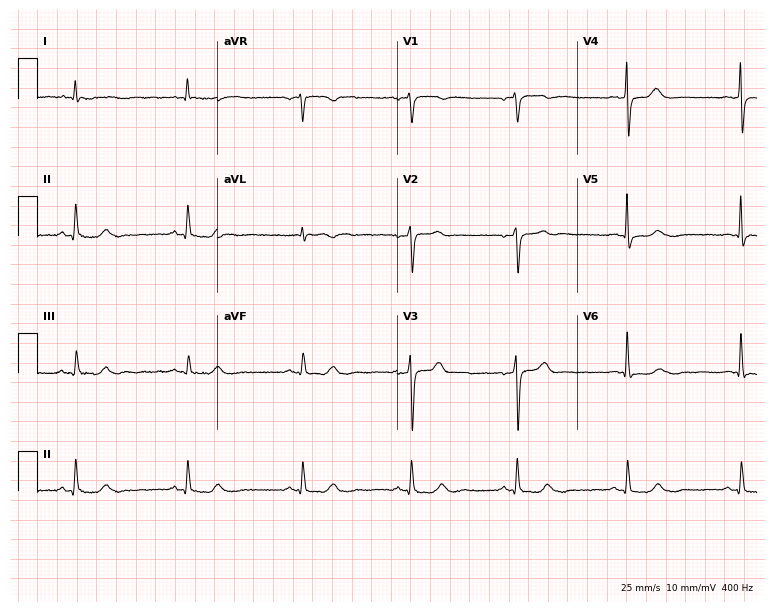
12-lead ECG from a 76-year-old man. Screened for six findings — first-degree AV block, right bundle branch block, left bundle branch block, sinus bradycardia, atrial fibrillation, sinus tachycardia — none is recorded.